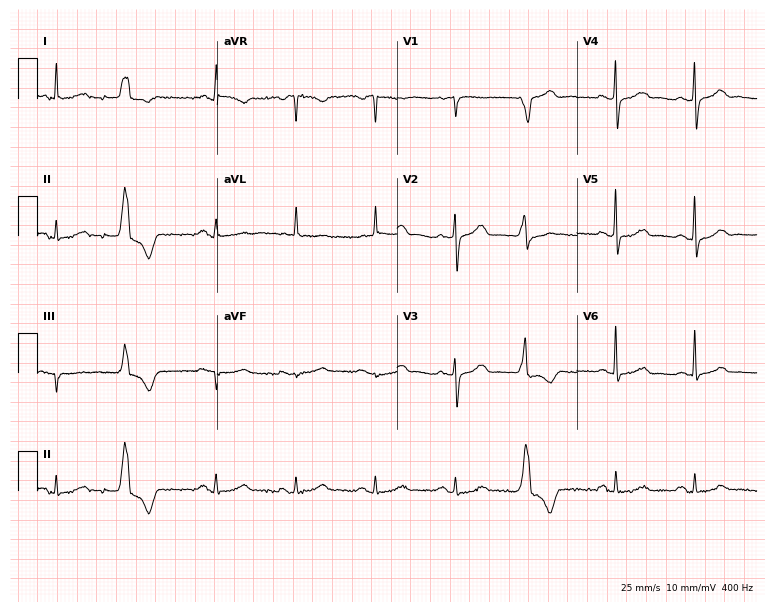
12-lead ECG (7.3-second recording at 400 Hz) from a female patient, 84 years old. Screened for six findings — first-degree AV block, right bundle branch block, left bundle branch block, sinus bradycardia, atrial fibrillation, sinus tachycardia — none is recorded.